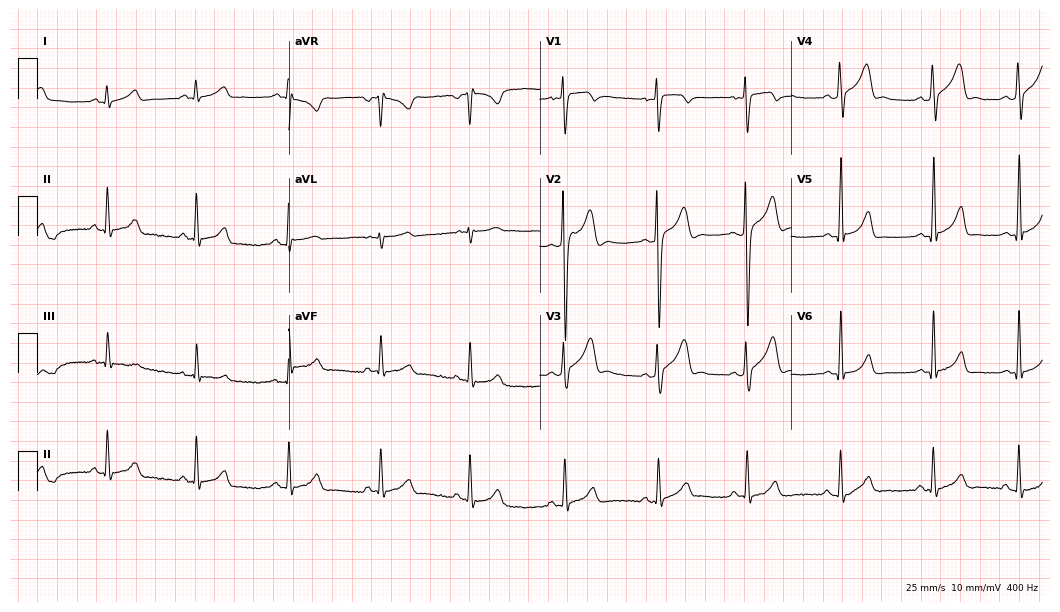
12-lead ECG (10.2-second recording at 400 Hz) from a 19-year-old male patient. Labelled as a normal ECG.